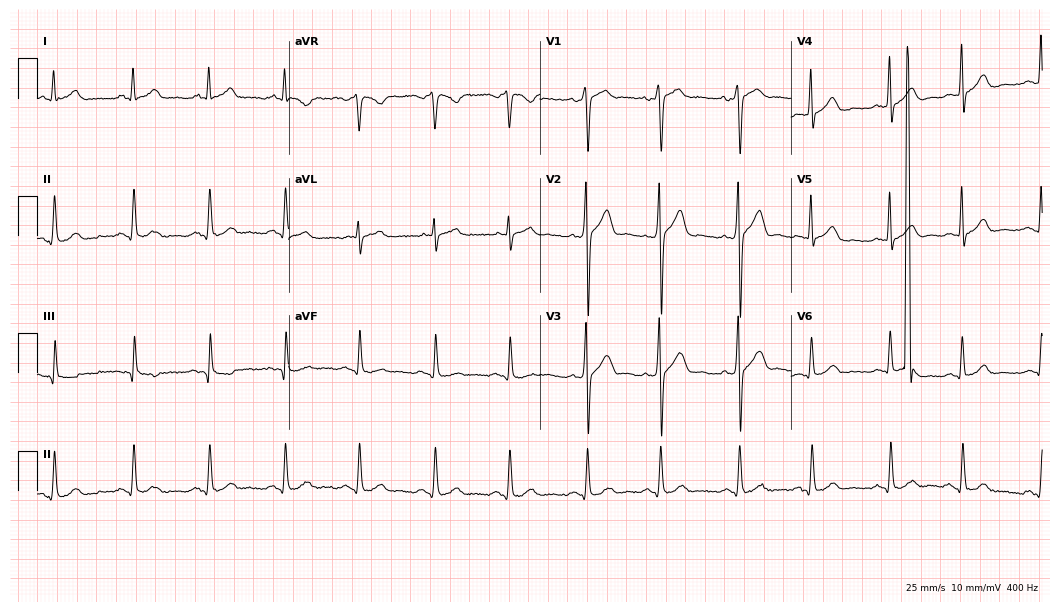
Standard 12-lead ECG recorded from a man, 41 years old. Read as a normal ECG.